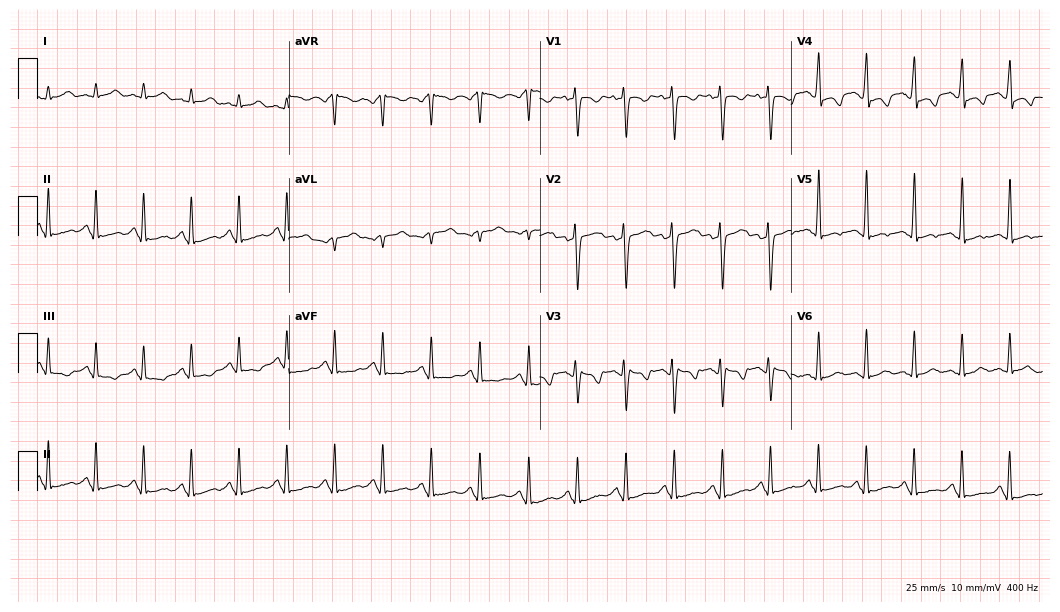
12-lead ECG (10.2-second recording at 400 Hz) from a 36-year-old woman. Screened for six findings — first-degree AV block, right bundle branch block, left bundle branch block, sinus bradycardia, atrial fibrillation, sinus tachycardia — none is recorded.